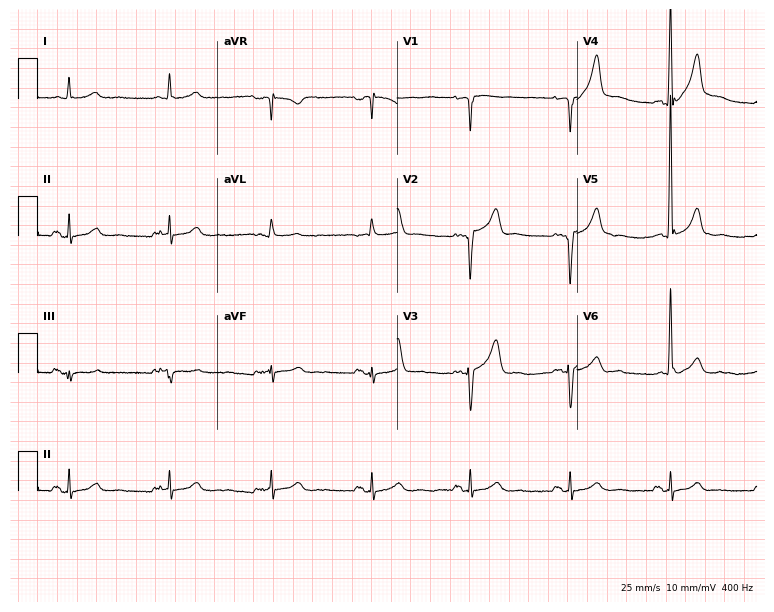
12-lead ECG (7.3-second recording at 400 Hz) from a male, 82 years old. Labelled as a normal ECG.